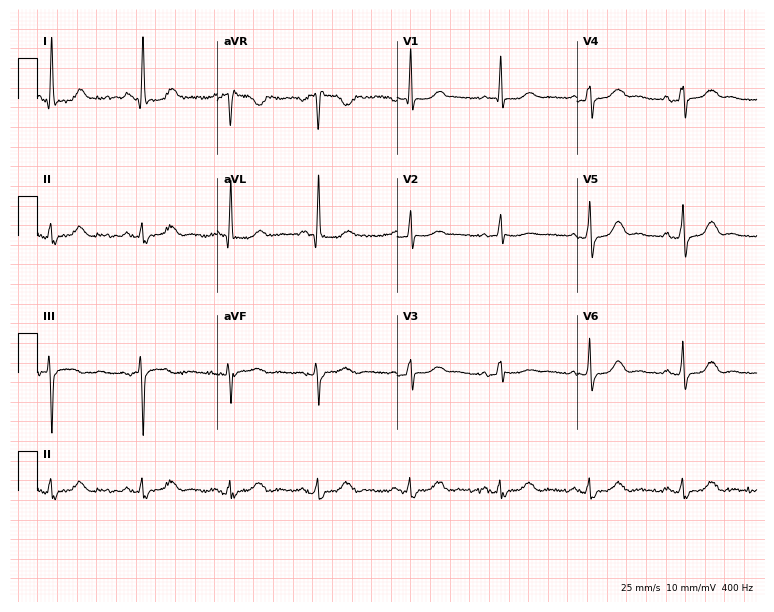
Resting 12-lead electrocardiogram. Patient: a 65-year-old female. None of these six findings is recorded: first-degree AV block, right bundle branch block, left bundle branch block, sinus bradycardia, atrial fibrillation, sinus tachycardia.